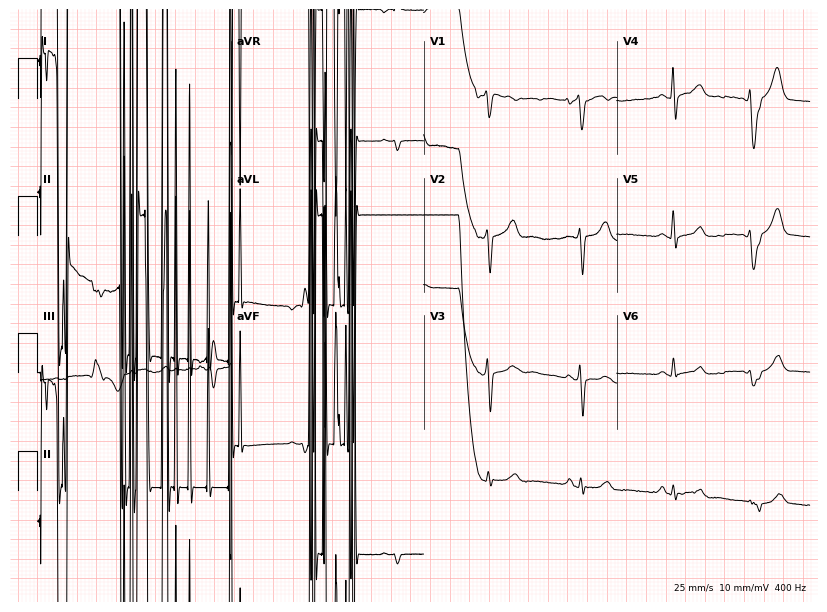
Electrocardiogram, an 81-year-old man. Of the six screened findings (first-degree AV block, right bundle branch block, left bundle branch block, sinus bradycardia, atrial fibrillation, sinus tachycardia), none is recorded. Findings outside these six are not listed.